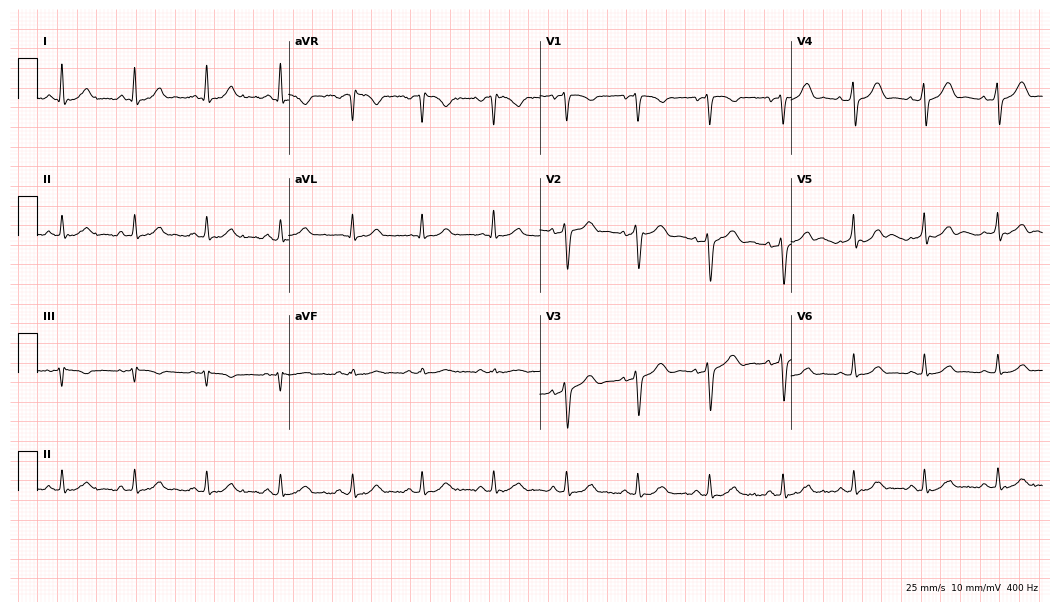
Electrocardiogram (10.2-second recording at 400 Hz), a female patient, 39 years old. Overall reading on record: normal ECG.